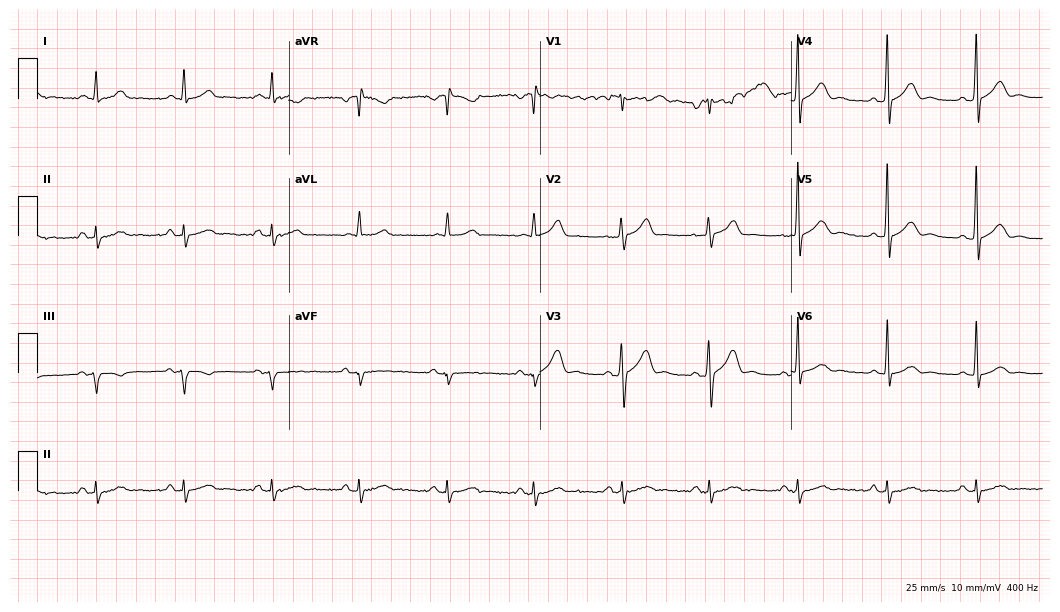
Resting 12-lead electrocardiogram (10.2-second recording at 400 Hz). Patient: a man, 64 years old. None of these six findings is recorded: first-degree AV block, right bundle branch block, left bundle branch block, sinus bradycardia, atrial fibrillation, sinus tachycardia.